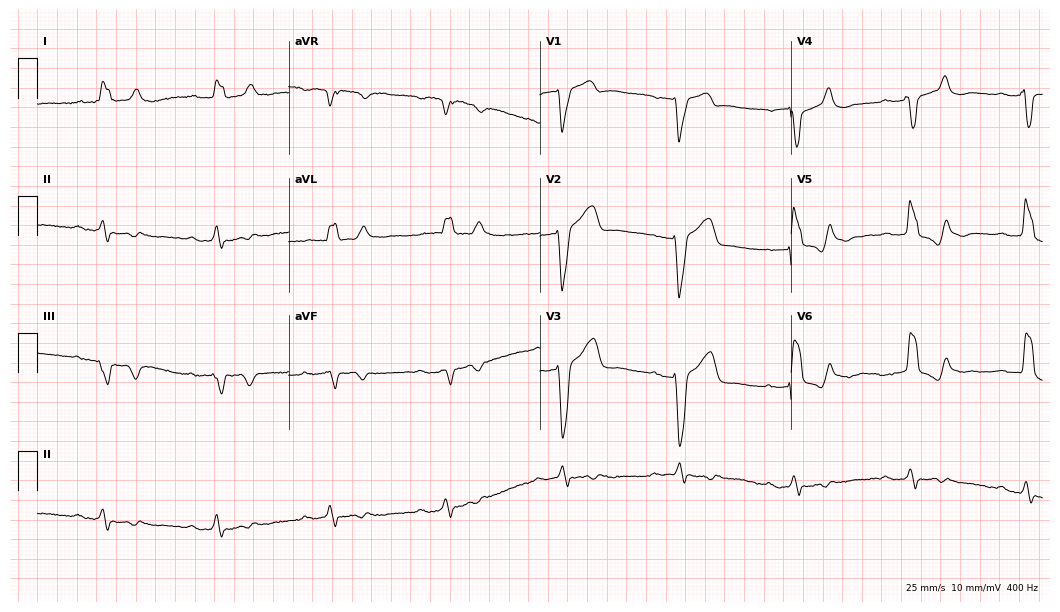
12-lead ECG from a 75-year-old man. Shows first-degree AV block, left bundle branch block (LBBB).